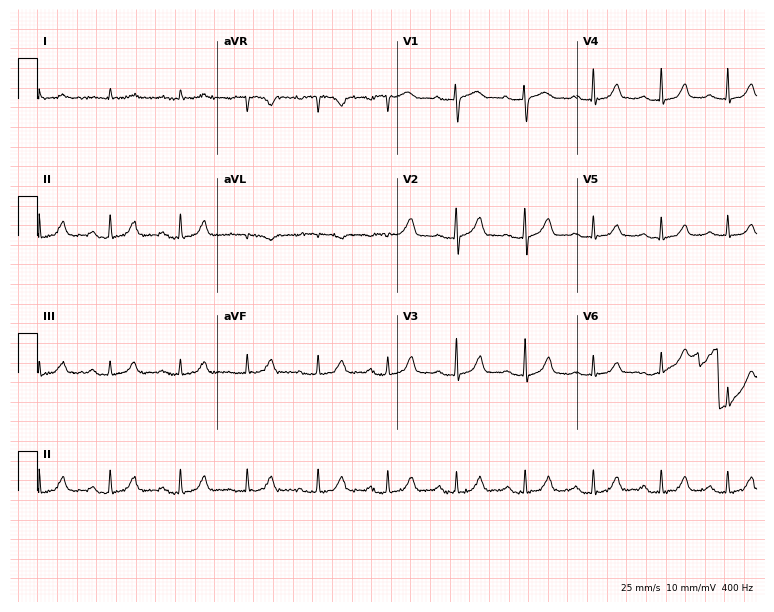
12-lead ECG from a female patient, 84 years old. Labelled as a normal ECG.